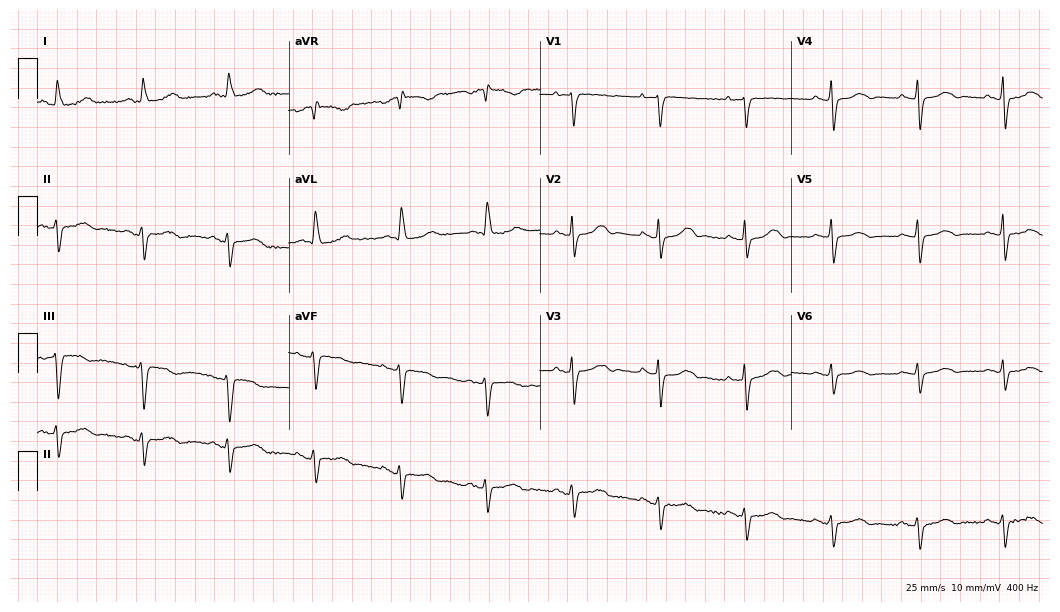
12-lead ECG (10.2-second recording at 400 Hz) from a 78-year-old woman. Screened for six findings — first-degree AV block, right bundle branch block, left bundle branch block, sinus bradycardia, atrial fibrillation, sinus tachycardia — none is recorded.